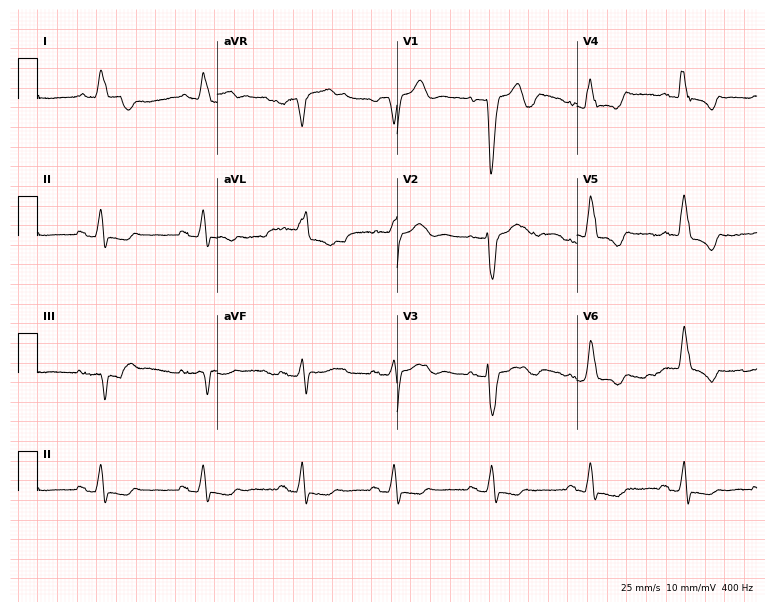
12-lead ECG from a 68-year-old female. Shows left bundle branch block.